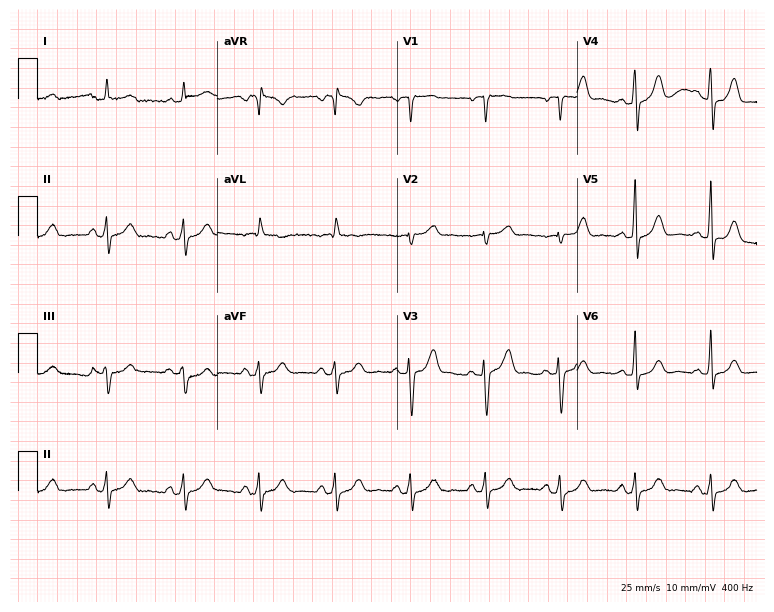
Resting 12-lead electrocardiogram. Patient: a male, 75 years old. Read as a normal ECG.